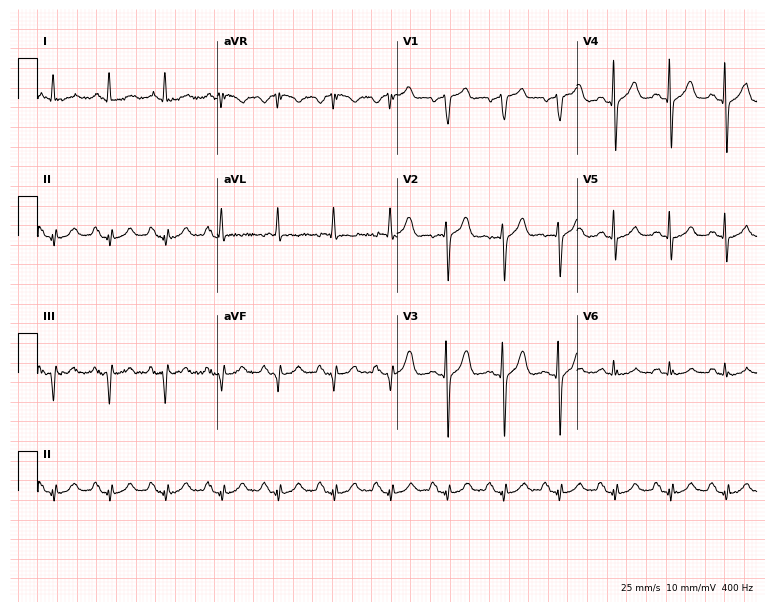
12-lead ECG from a male patient, 63 years old. No first-degree AV block, right bundle branch block (RBBB), left bundle branch block (LBBB), sinus bradycardia, atrial fibrillation (AF) or sinus tachycardia recorded for this tracing.